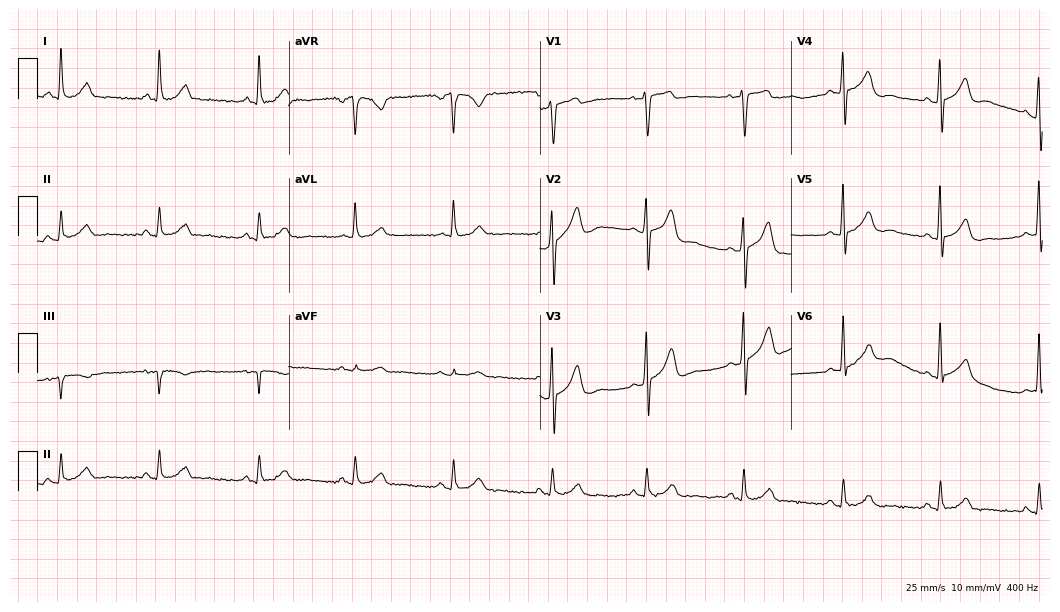
ECG (10.2-second recording at 400 Hz) — a male patient, 51 years old. Labelled as a normal ECG.